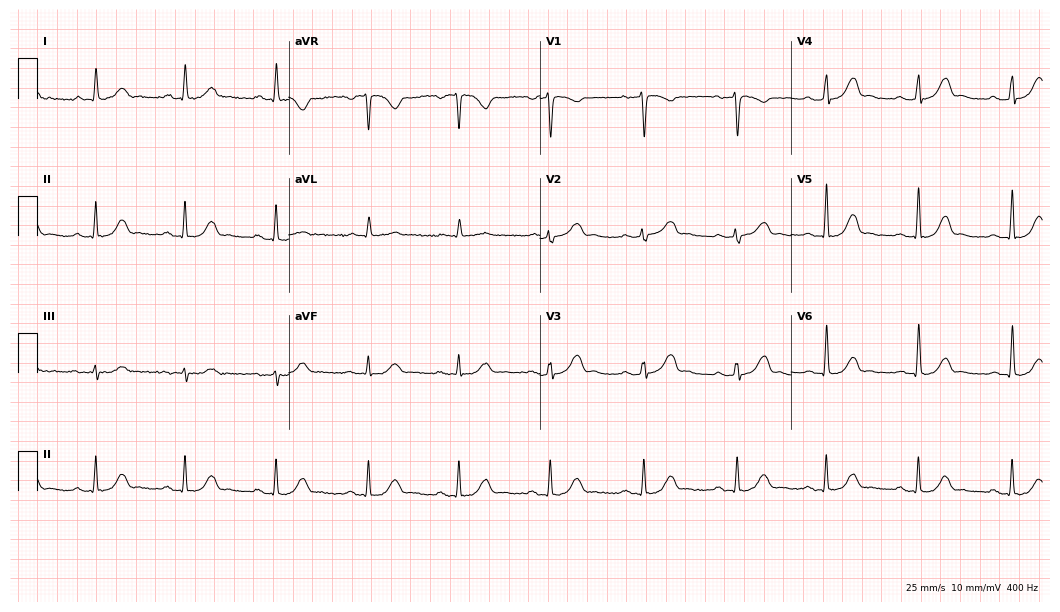
Resting 12-lead electrocardiogram. Patient: a 45-year-old woman. Read as a normal ECG.